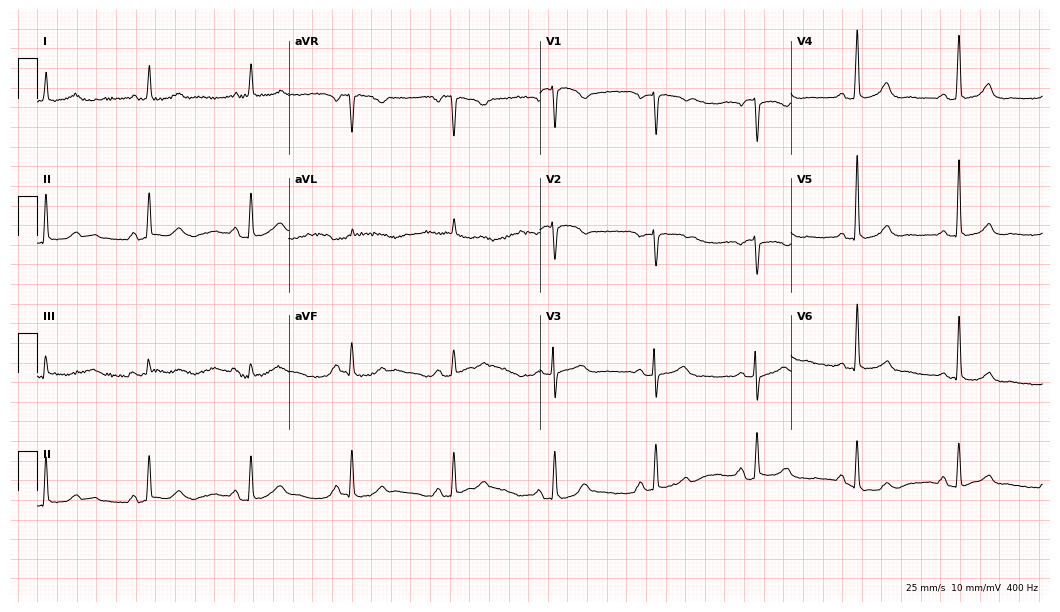
Electrocardiogram (10.2-second recording at 400 Hz), a woman, 71 years old. Overall reading on record: normal ECG.